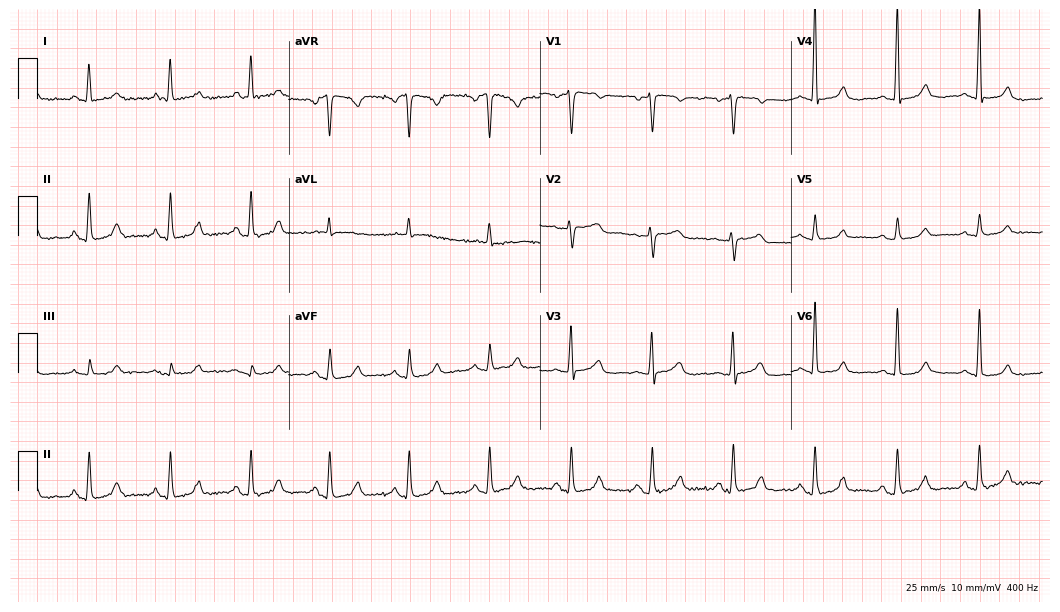
12-lead ECG (10.2-second recording at 400 Hz) from a female patient, 68 years old. Labelled as a normal ECG.